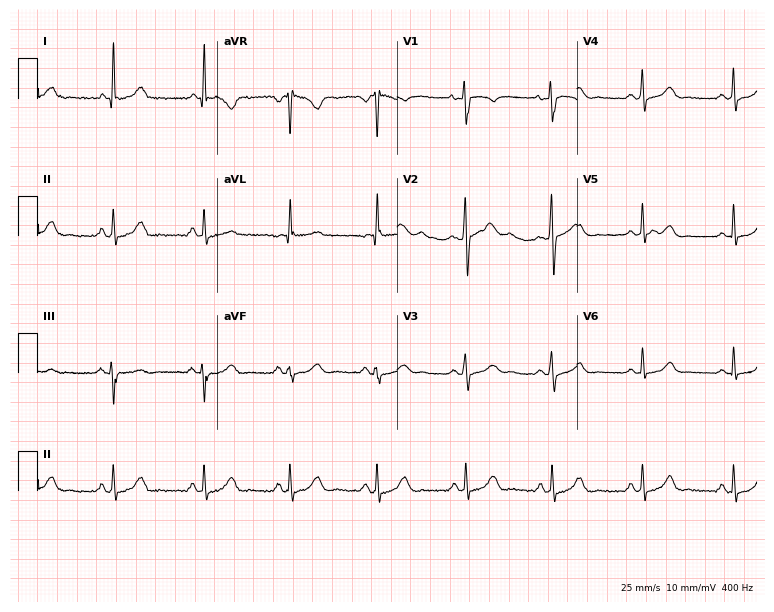
12-lead ECG from a 32-year-old female. Labelled as a normal ECG.